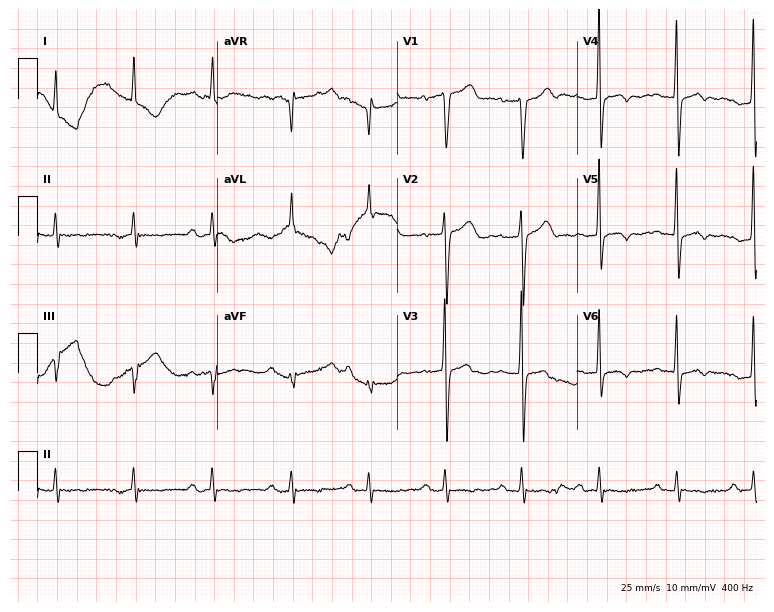
Resting 12-lead electrocardiogram (7.3-second recording at 400 Hz). Patient: a male, 68 years old. None of these six findings is recorded: first-degree AV block, right bundle branch block, left bundle branch block, sinus bradycardia, atrial fibrillation, sinus tachycardia.